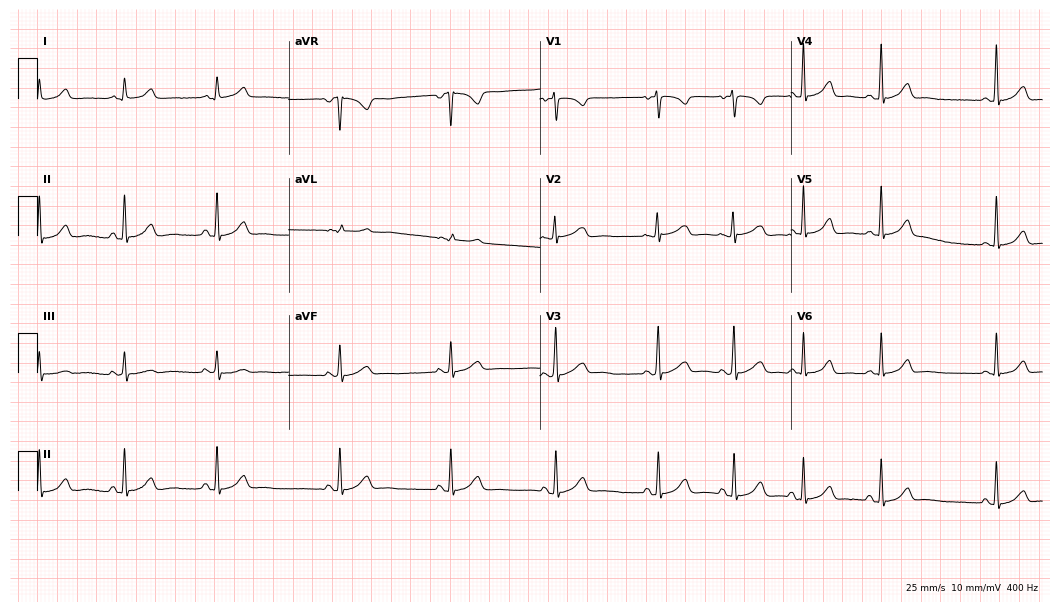
Electrocardiogram (10.2-second recording at 400 Hz), a 17-year-old woman. Overall reading on record: normal ECG.